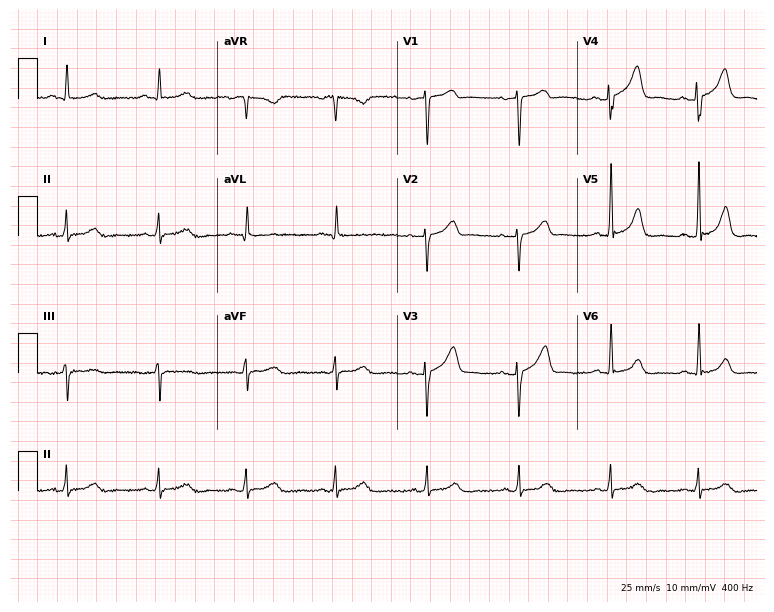
12-lead ECG from a woman, 74 years old. No first-degree AV block, right bundle branch block, left bundle branch block, sinus bradycardia, atrial fibrillation or sinus tachycardia recorded for this tracing.